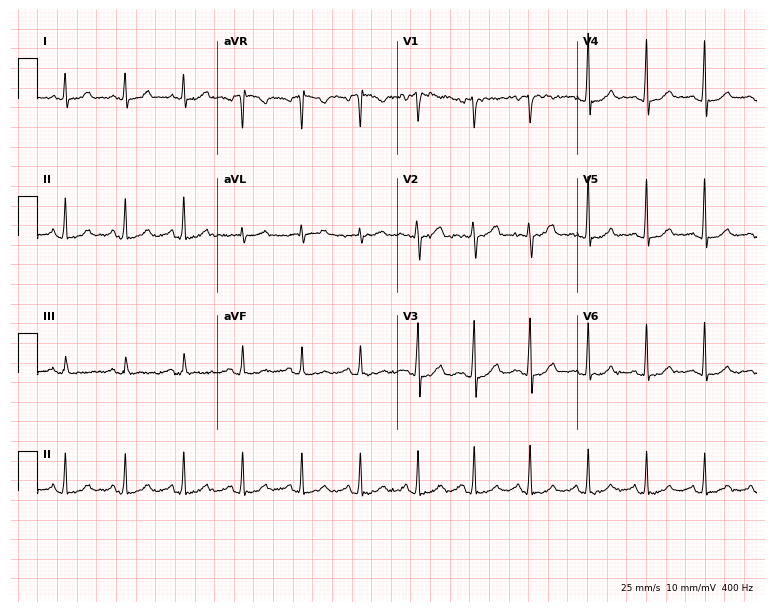
12-lead ECG from a 39-year-old woman (7.3-second recording at 400 Hz). No first-degree AV block, right bundle branch block (RBBB), left bundle branch block (LBBB), sinus bradycardia, atrial fibrillation (AF) or sinus tachycardia recorded for this tracing.